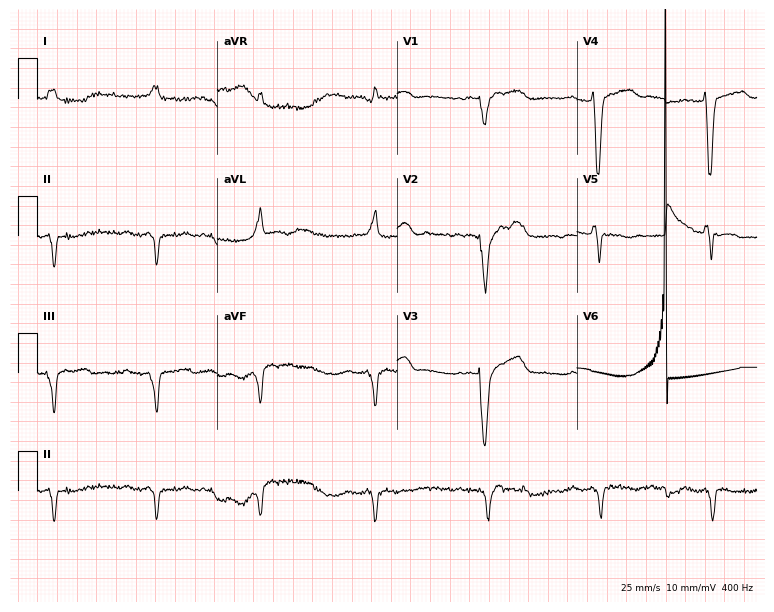
Standard 12-lead ECG recorded from a female, 83 years old (7.3-second recording at 400 Hz). None of these six findings is recorded: first-degree AV block, right bundle branch block, left bundle branch block, sinus bradycardia, atrial fibrillation, sinus tachycardia. Only these six findings were labelled.